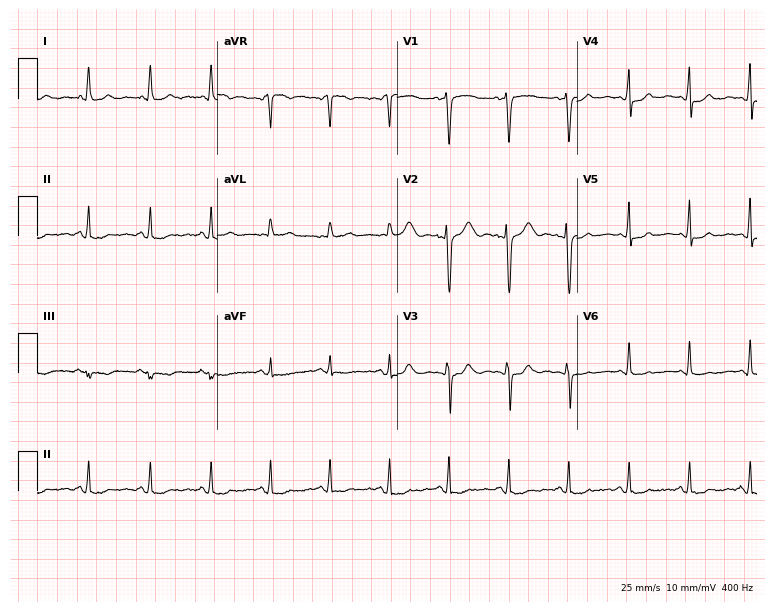
12-lead ECG (7.3-second recording at 400 Hz) from a woman, 40 years old. Screened for six findings — first-degree AV block, right bundle branch block, left bundle branch block, sinus bradycardia, atrial fibrillation, sinus tachycardia — none is recorded. Findings outside these six are not listed.